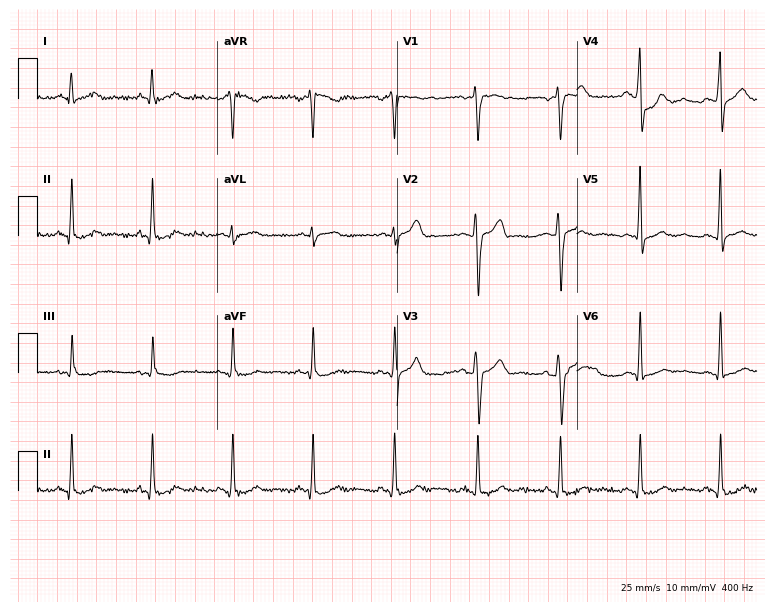
ECG — a 41-year-old male patient. Labelled as a normal ECG.